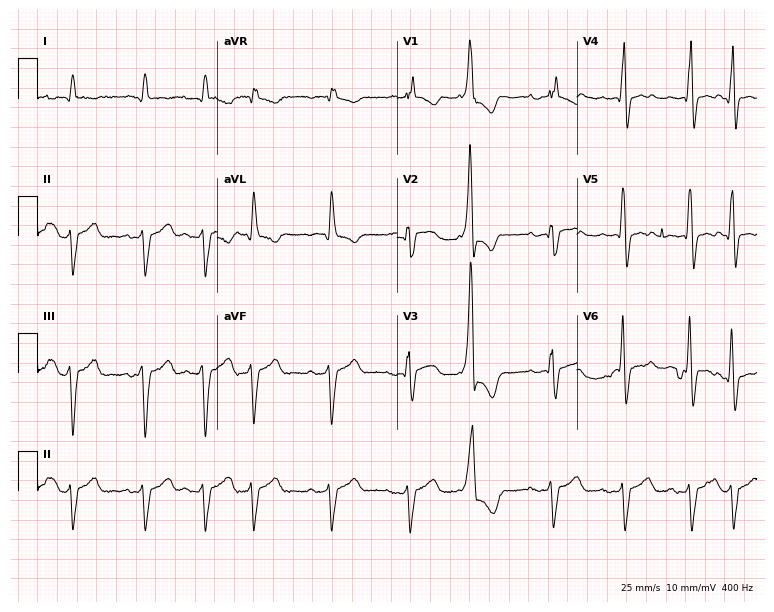
Standard 12-lead ECG recorded from a female patient, 85 years old (7.3-second recording at 400 Hz). The tracing shows right bundle branch block.